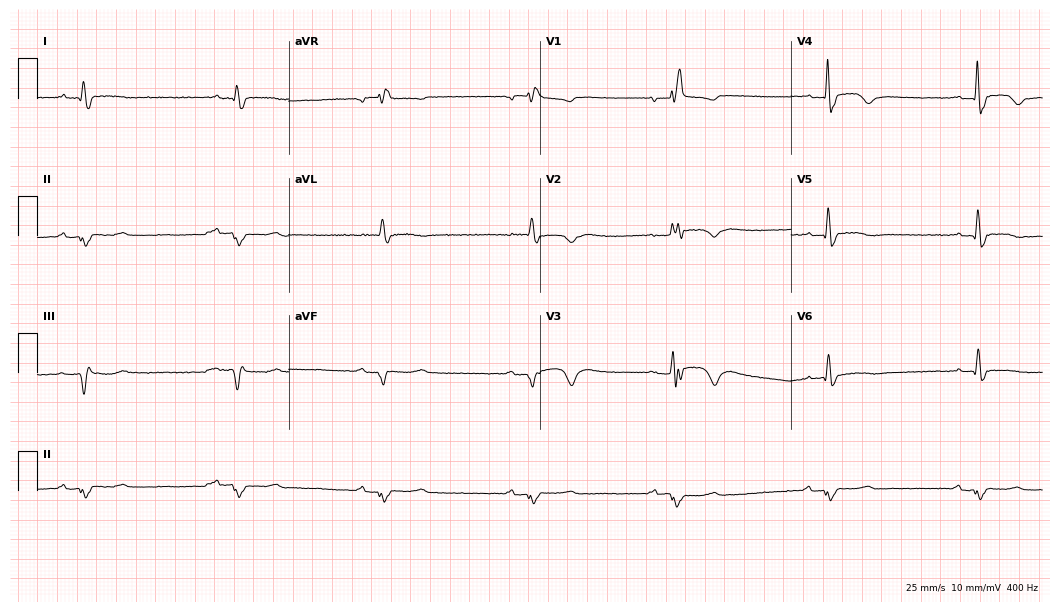
12-lead ECG from a woman, 65 years old. Findings include sinus bradycardia (a sinus rate of 50 beats per minute or less).